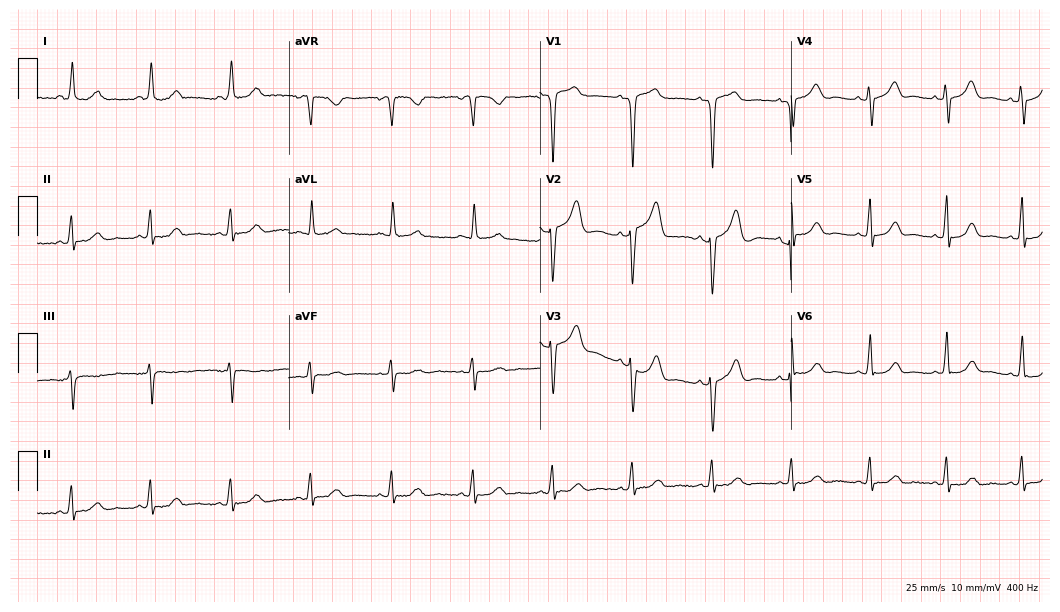
12-lead ECG from a female patient, 68 years old (10.2-second recording at 400 Hz). Recorded interpretation: within normal limits.